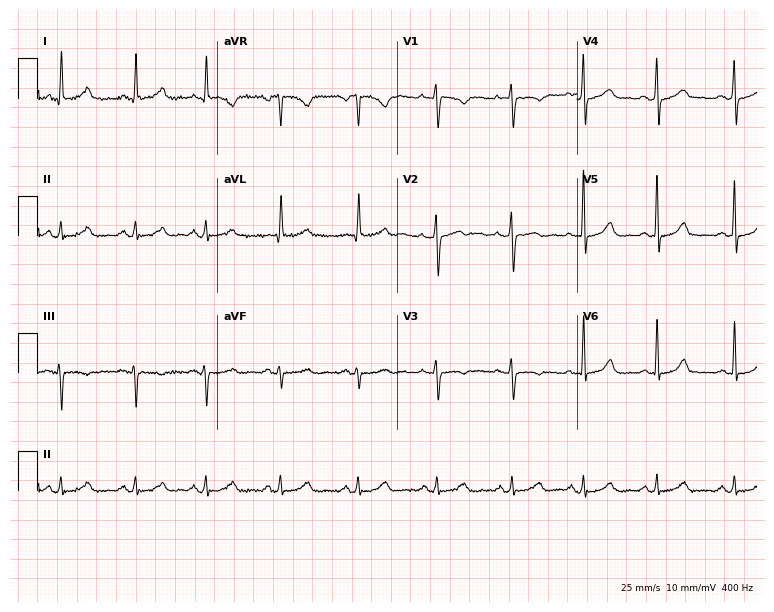
Resting 12-lead electrocardiogram (7.3-second recording at 400 Hz). Patient: a 44-year-old woman. Read as a normal ECG.